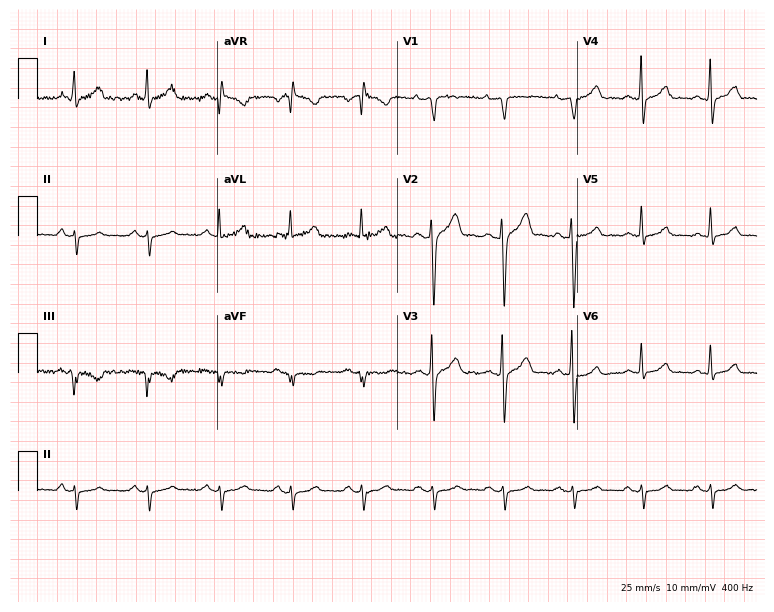
12-lead ECG from a male, 37 years old. No first-degree AV block, right bundle branch block, left bundle branch block, sinus bradycardia, atrial fibrillation or sinus tachycardia recorded for this tracing.